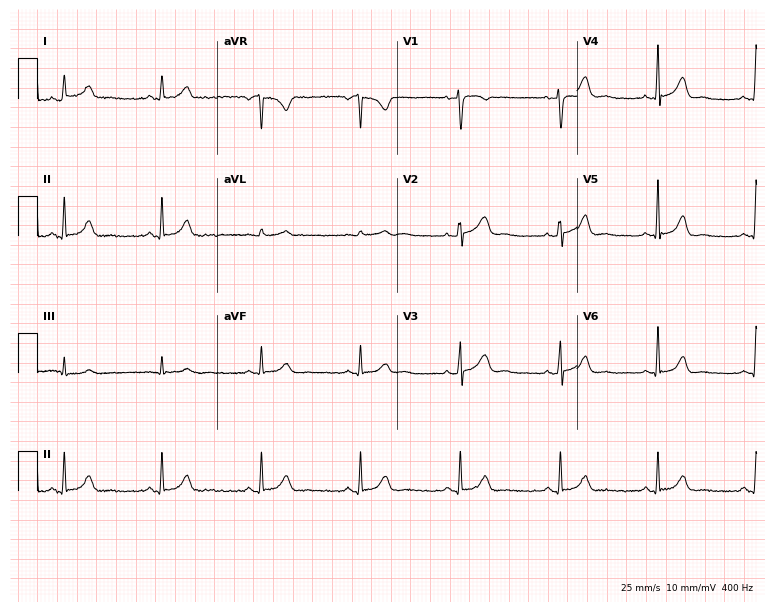
Electrocardiogram (7.3-second recording at 400 Hz), a 48-year-old female patient. Overall reading on record: normal ECG.